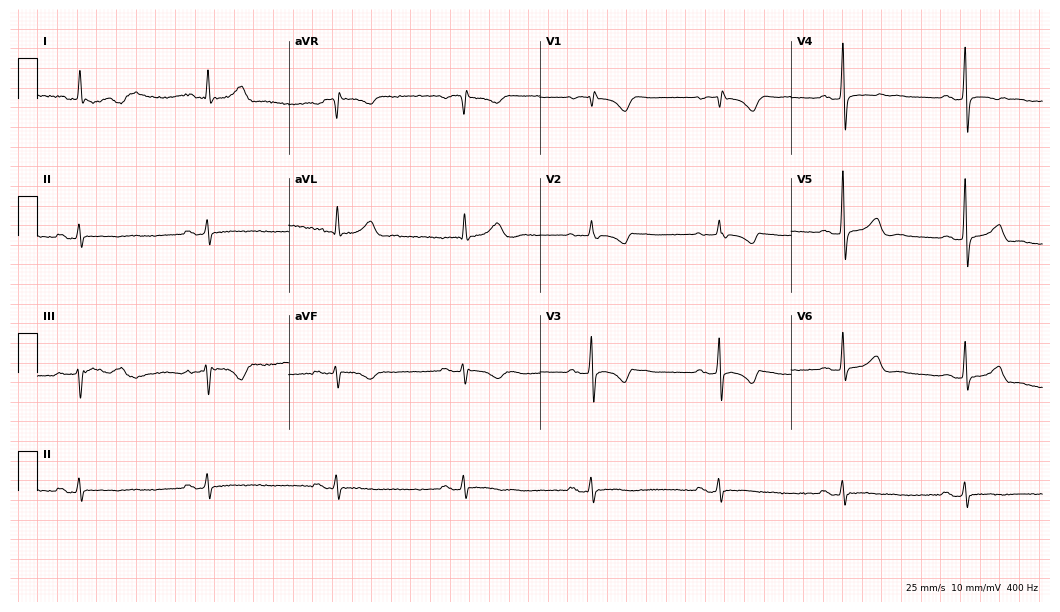
12-lead ECG (10.2-second recording at 400 Hz) from a male patient, 81 years old. Findings include sinus bradycardia (a sinus rate of 50 beats per minute or less).